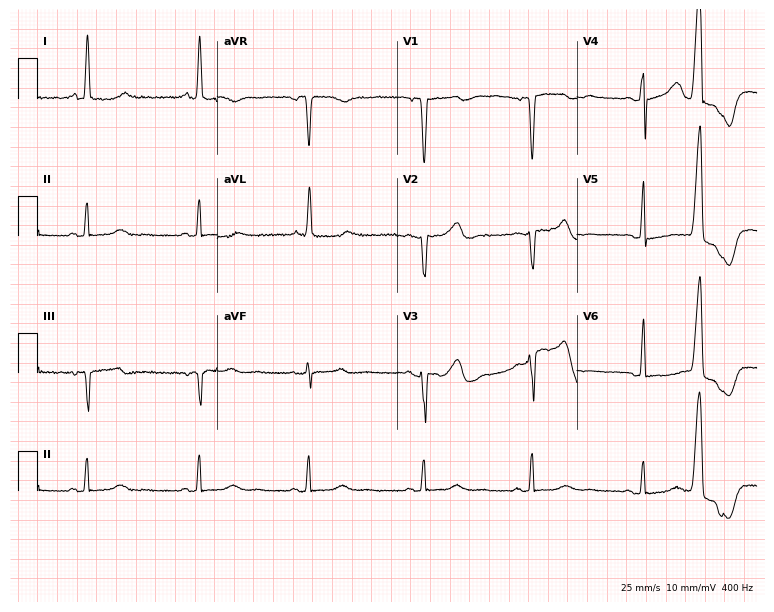
ECG (7.3-second recording at 400 Hz) — a woman, 62 years old. Screened for six findings — first-degree AV block, right bundle branch block, left bundle branch block, sinus bradycardia, atrial fibrillation, sinus tachycardia — none is recorded. Findings outside these six are not listed.